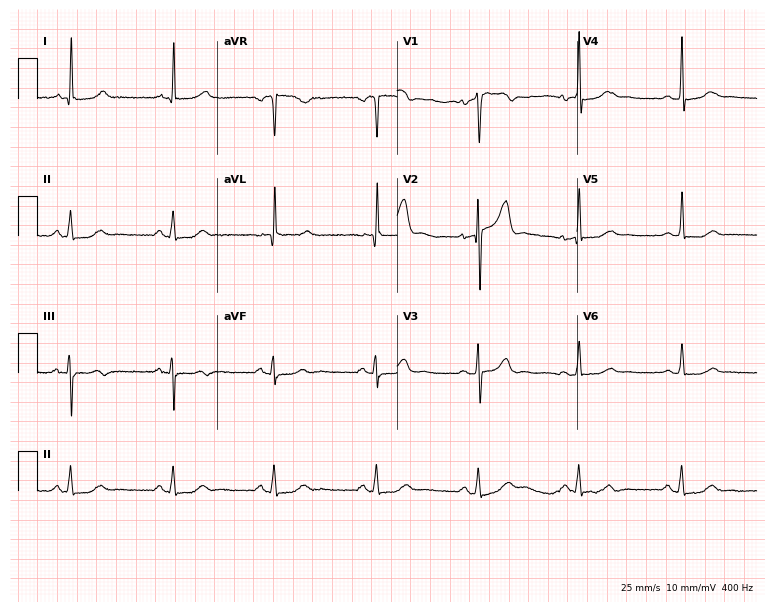
12-lead ECG (7.3-second recording at 400 Hz) from a female, 52 years old. Labelled as a normal ECG.